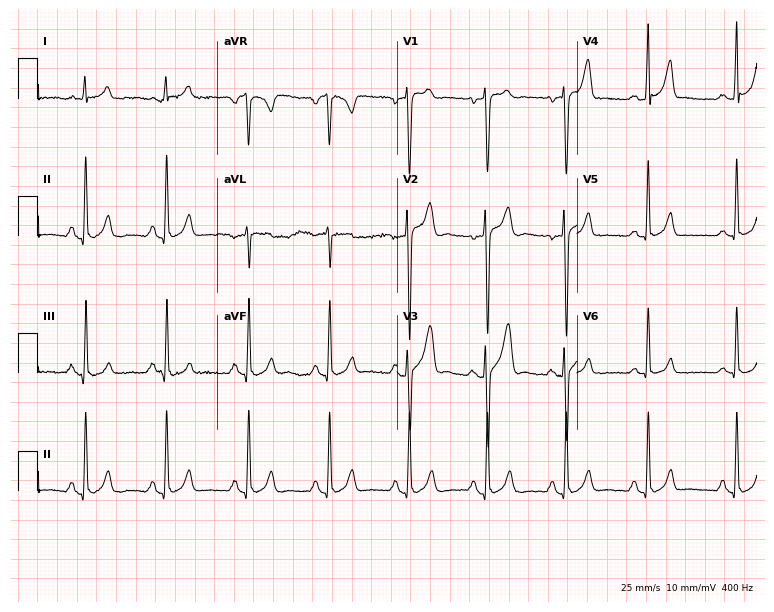
Standard 12-lead ECG recorded from a 20-year-old male patient (7.3-second recording at 400 Hz). Read as a normal ECG.